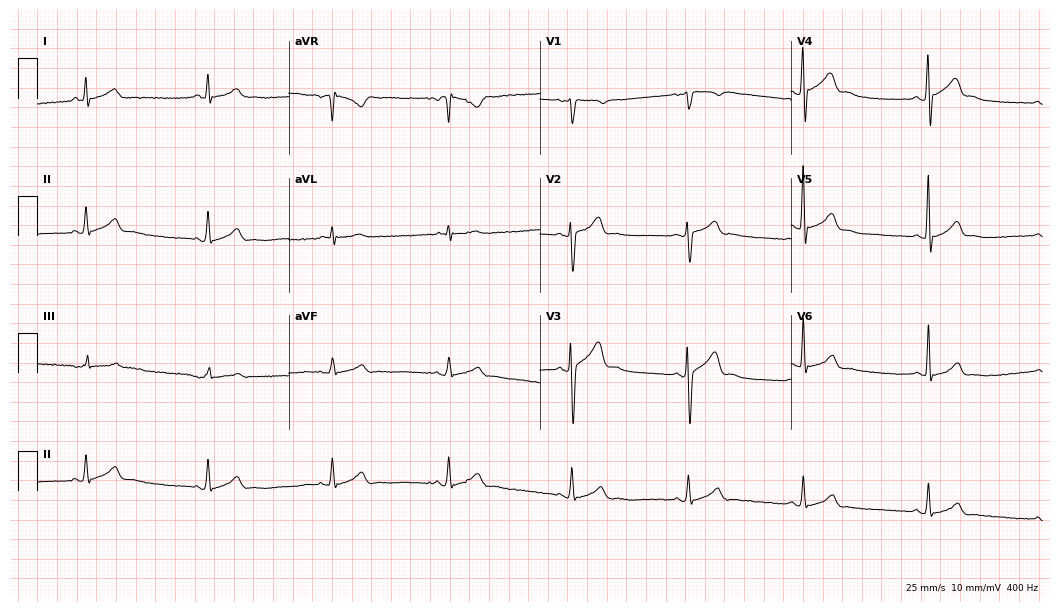
Electrocardiogram, a 21-year-old male patient. Overall reading on record: normal ECG.